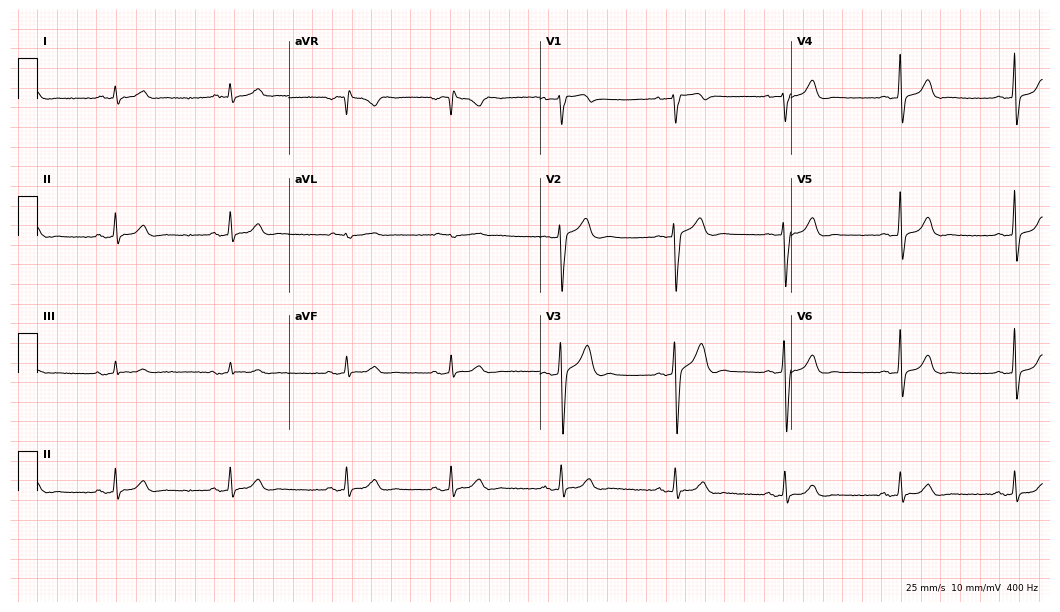
ECG (10.2-second recording at 400 Hz) — a man, 39 years old. Labelled as a normal ECG.